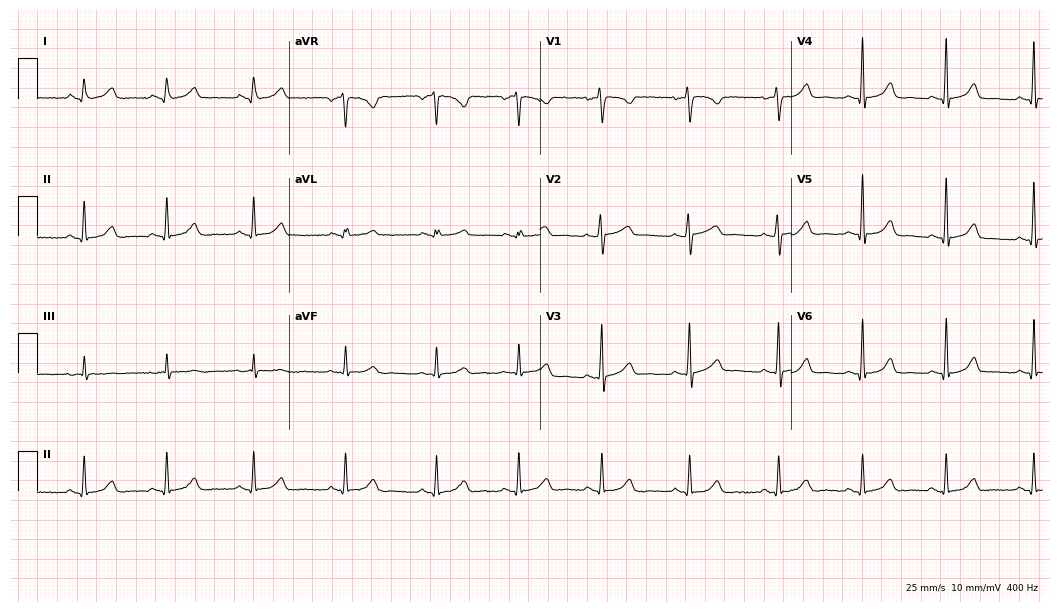
Electrocardiogram, a female patient, 33 years old. Overall reading on record: normal ECG.